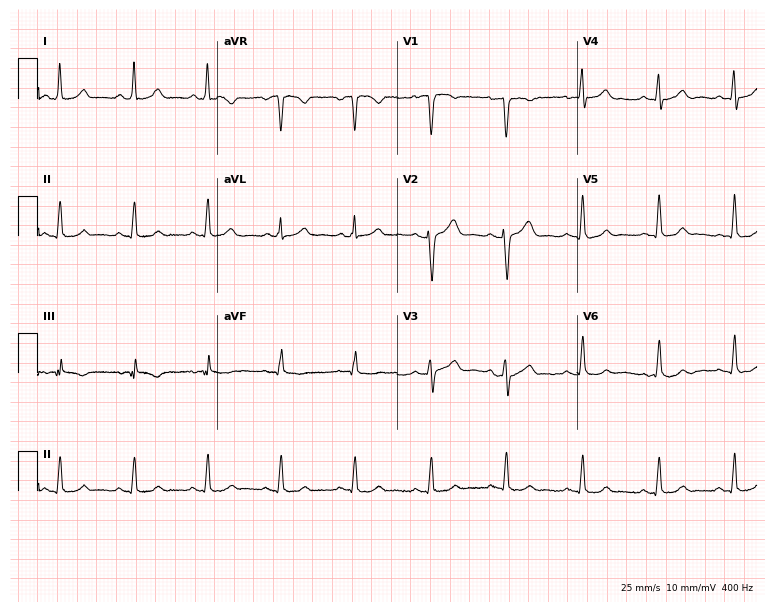
12-lead ECG from a 35-year-old male patient (7.3-second recording at 400 Hz). Recorded interpretation: within normal limits.